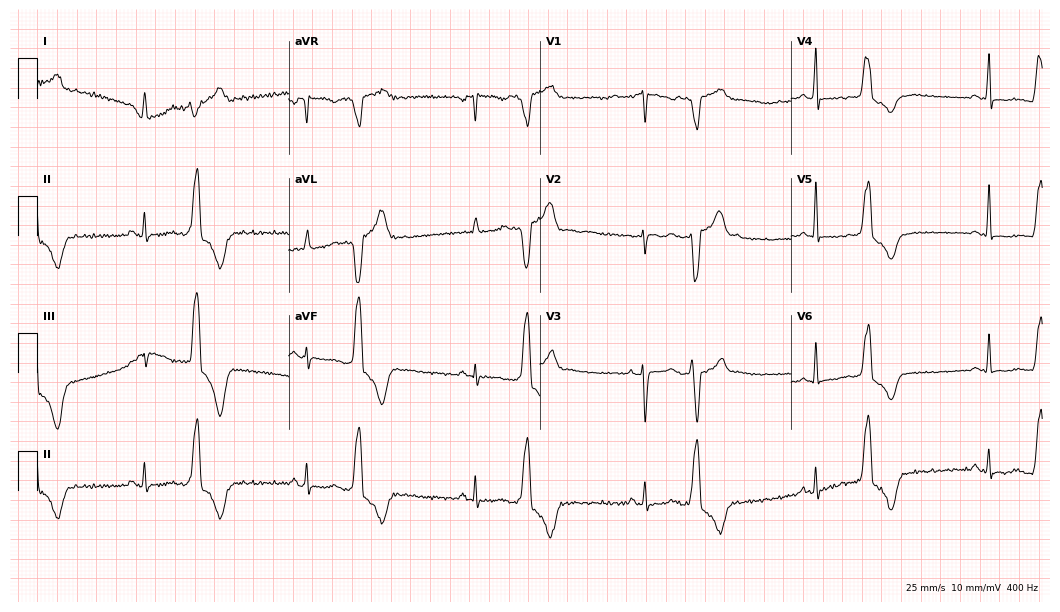
Electrocardiogram (10.2-second recording at 400 Hz), a 52-year-old female. Of the six screened findings (first-degree AV block, right bundle branch block, left bundle branch block, sinus bradycardia, atrial fibrillation, sinus tachycardia), none is recorded. Findings outside these six are not listed.